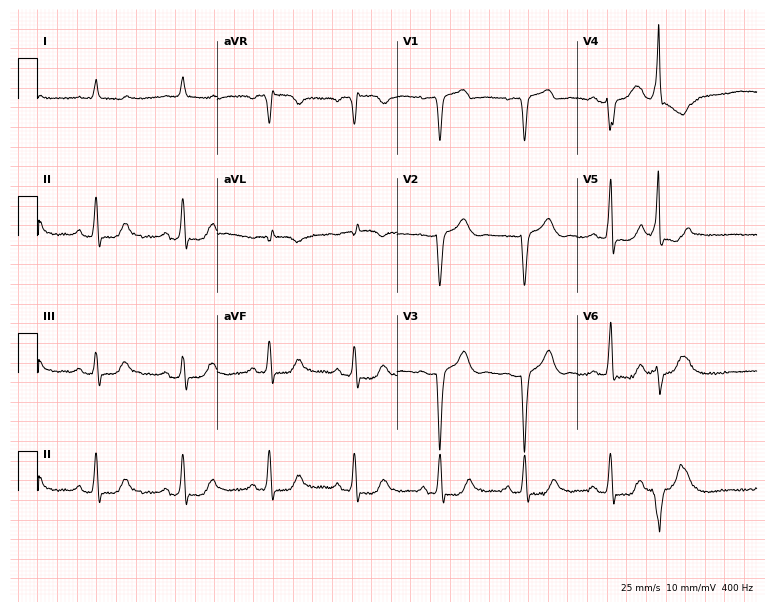
Electrocardiogram, a female patient, 85 years old. Of the six screened findings (first-degree AV block, right bundle branch block, left bundle branch block, sinus bradycardia, atrial fibrillation, sinus tachycardia), none is recorded.